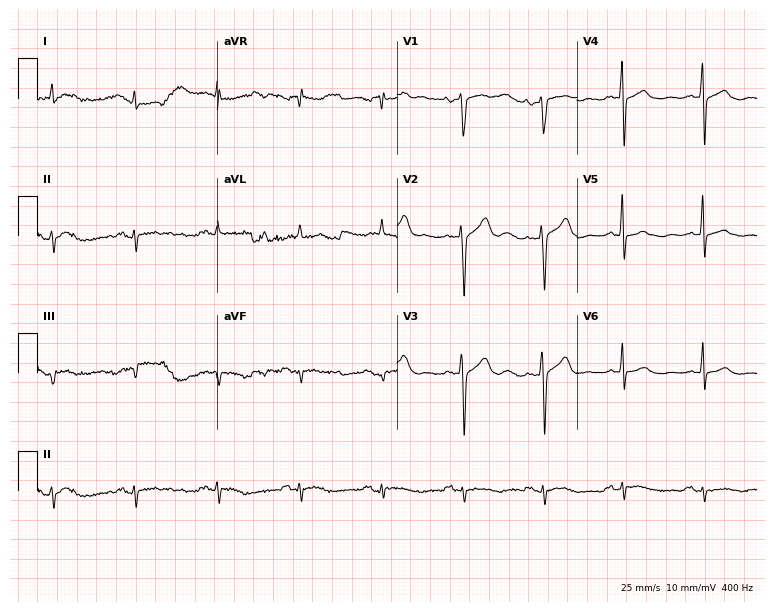
Standard 12-lead ECG recorded from a 67-year-old man. None of these six findings is recorded: first-degree AV block, right bundle branch block, left bundle branch block, sinus bradycardia, atrial fibrillation, sinus tachycardia.